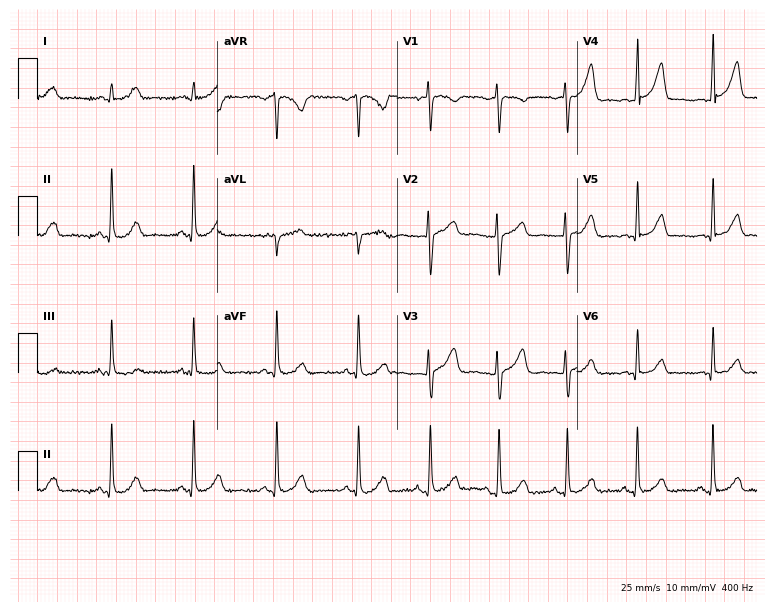
12-lead ECG from a 22-year-old female patient. Labelled as a normal ECG.